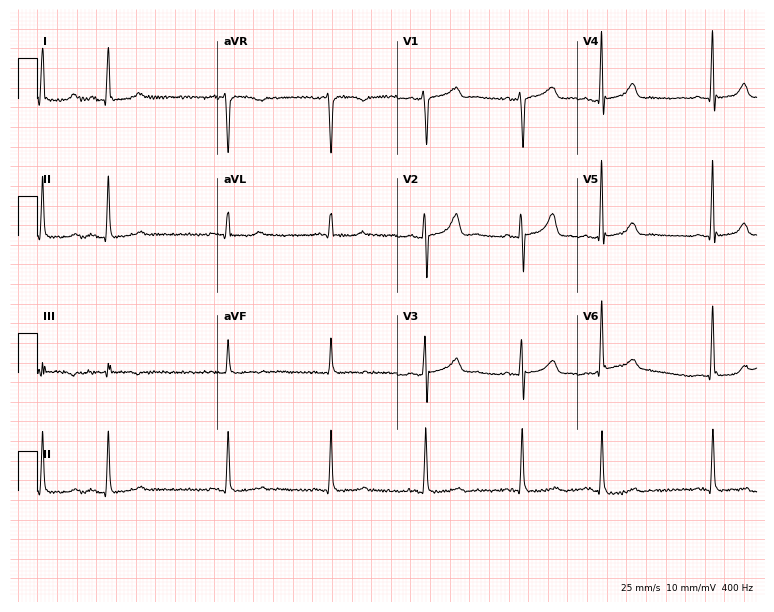
Electrocardiogram (7.3-second recording at 400 Hz), a 73-year-old woman. Of the six screened findings (first-degree AV block, right bundle branch block, left bundle branch block, sinus bradycardia, atrial fibrillation, sinus tachycardia), none is recorded. Findings outside these six are not listed.